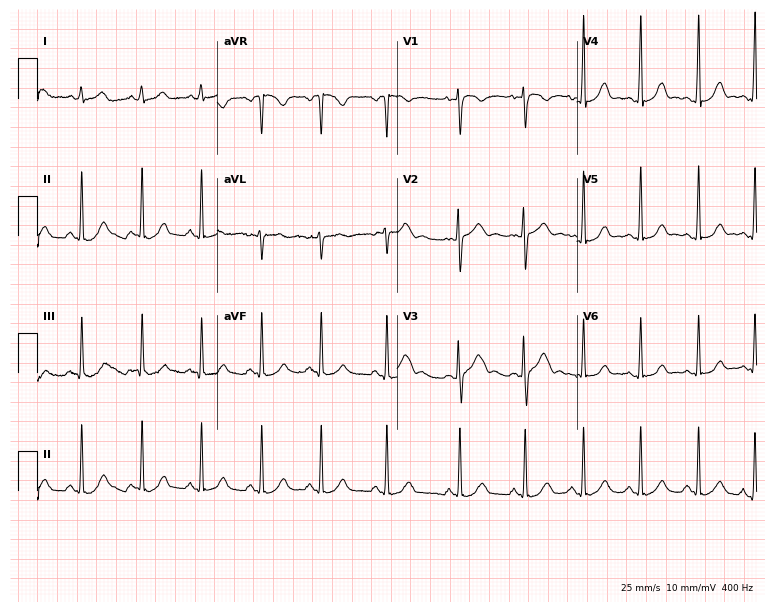
Standard 12-lead ECG recorded from a 24-year-old female patient. None of these six findings is recorded: first-degree AV block, right bundle branch block (RBBB), left bundle branch block (LBBB), sinus bradycardia, atrial fibrillation (AF), sinus tachycardia. Only these six findings were labelled.